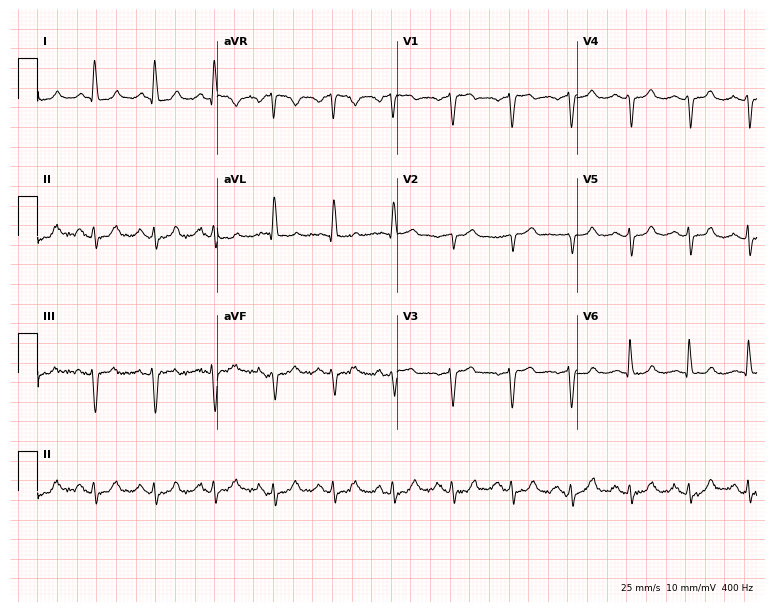
Standard 12-lead ECG recorded from a 75-year-old female patient (7.3-second recording at 400 Hz). None of these six findings is recorded: first-degree AV block, right bundle branch block, left bundle branch block, sinus bradycardia, atrial fibrillation, sinus tachycardia. Findings outside these six are not listed.